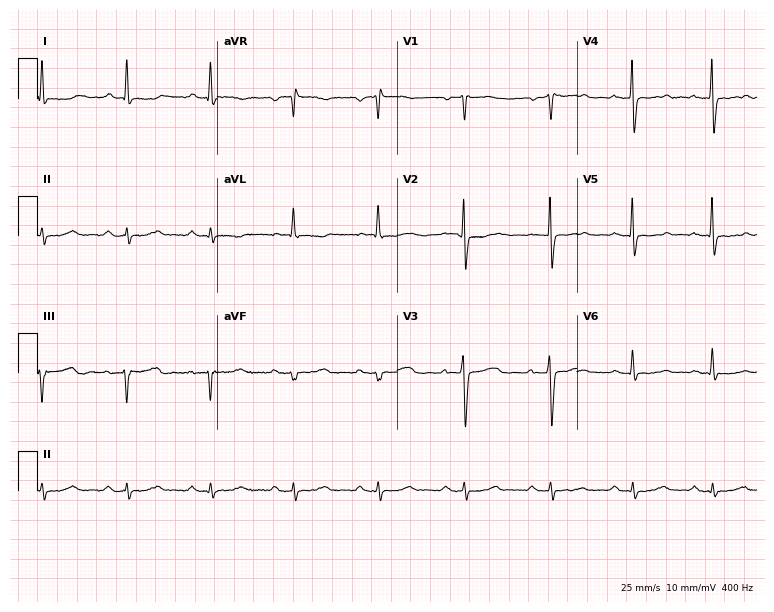
Standard 12-lead ECG recorded from a female, 51 years old. None of these six findings is recorded: first-degree AV block, right bundle branch block (RBBB), left bundle branch block (LBBB), sinus bradycardia, atrial fibrillation (AF), sinus tachycardia. Other findings, if any, are not listed.